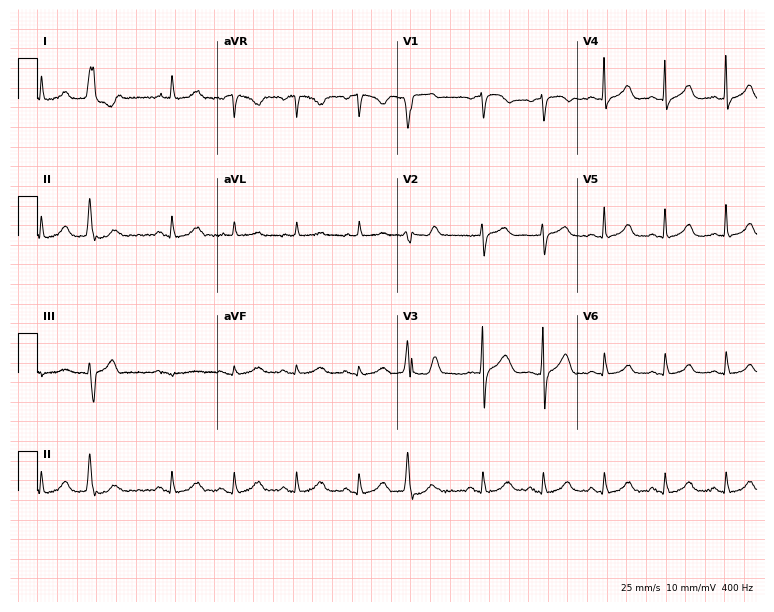
ECG — a female, 73 years old. Screened for six findings — first-degree AV block, right bundle branch block (RBBB), left bundle branch block (LBBB), sinus bradycardia, atrial fibrillation (AF), sinus tachycardia — none is recorded.